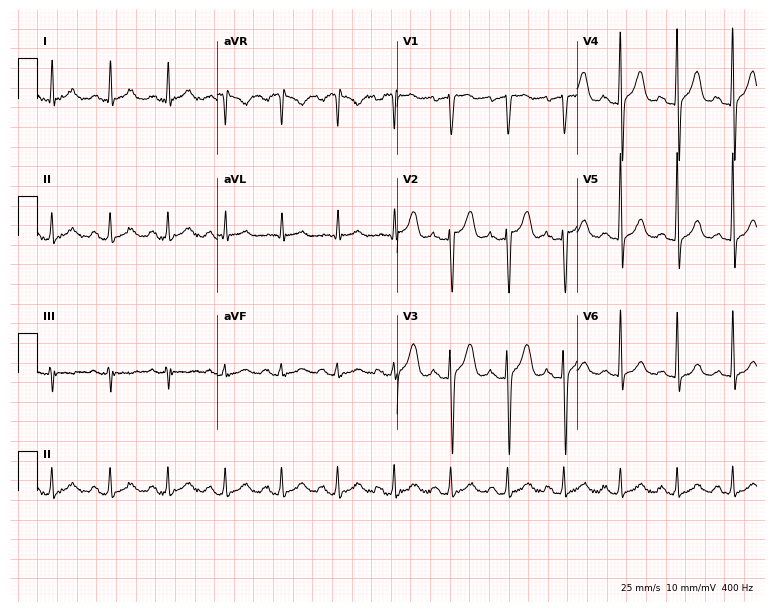
12-lead ECG (7.3-second recording at 400 Hz) from a male patient, 56 years old. Screened for six findings — first-degree AV block, right bundle branch block, left bundle branch block, sinus bradycardia, atrial fibrillation, sinus tachycardia — none is recorded. Only these six findings were labelled.